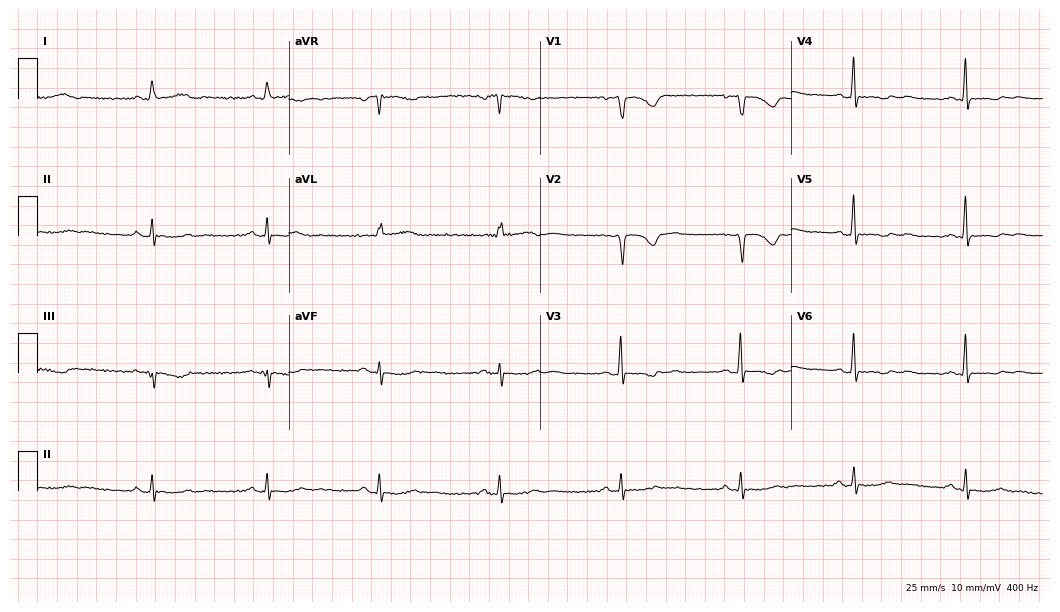
Resting 12-lead electrocardiogram. Patient: a 63-year-old woman. None of these six findings is recorded: first-degree AV block, right bundle branch block, left bundle branch block, sinus bradycardia, atrial fibrillation, sinus tachycardia. Findings outside these six are not listed.